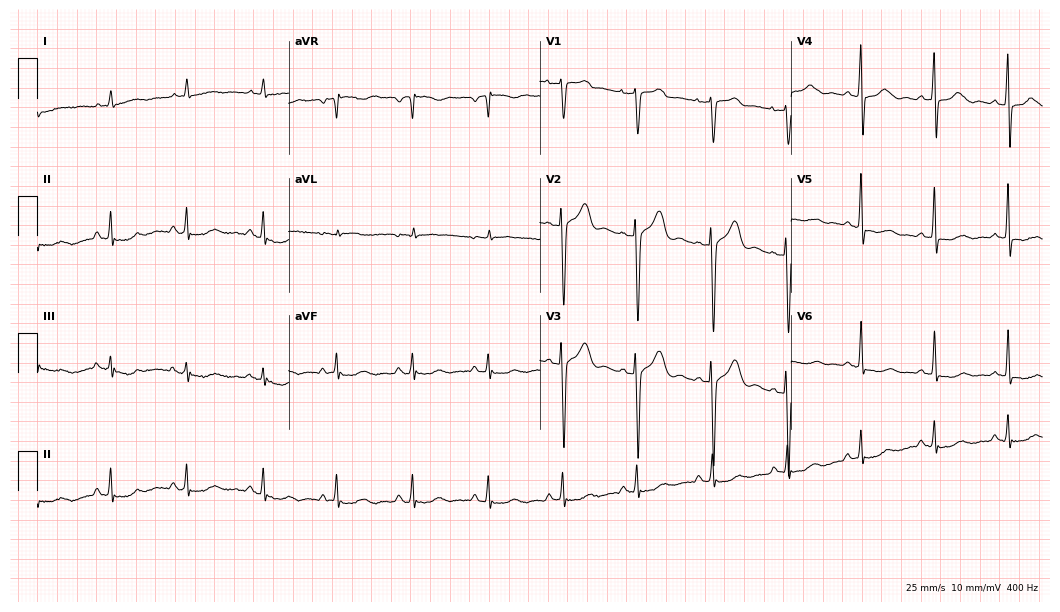
Resting 12-lead electrocardiogram (10.2-second recording at 400 Hz). Patient: a female, 57 years old. None of these six findings is recorded: first-degree AV block, right bundle branch block, left bundle branch block, sinus bradycardia, atrial fibrillation, sinus tachycardia. Other findings, if any, are not listed.